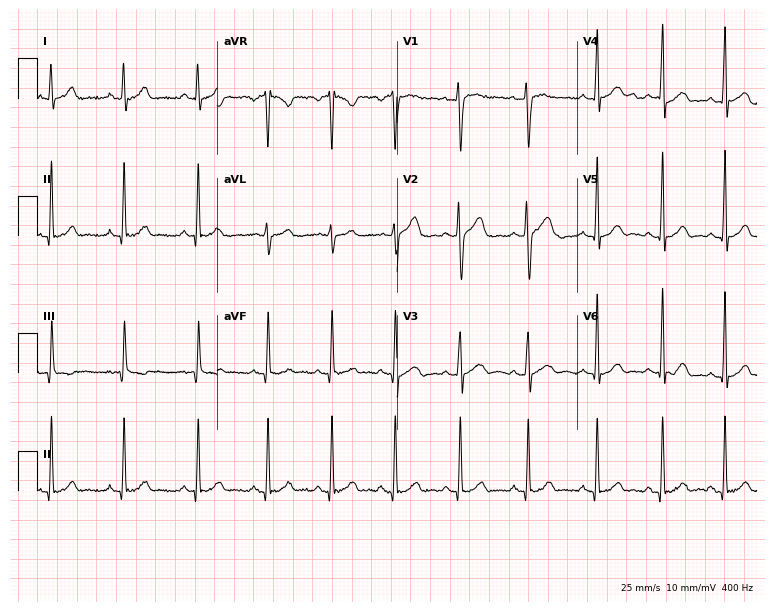
Standard 12-lead ECG recorded from a male, 21 years old. Read as a normal ECG.